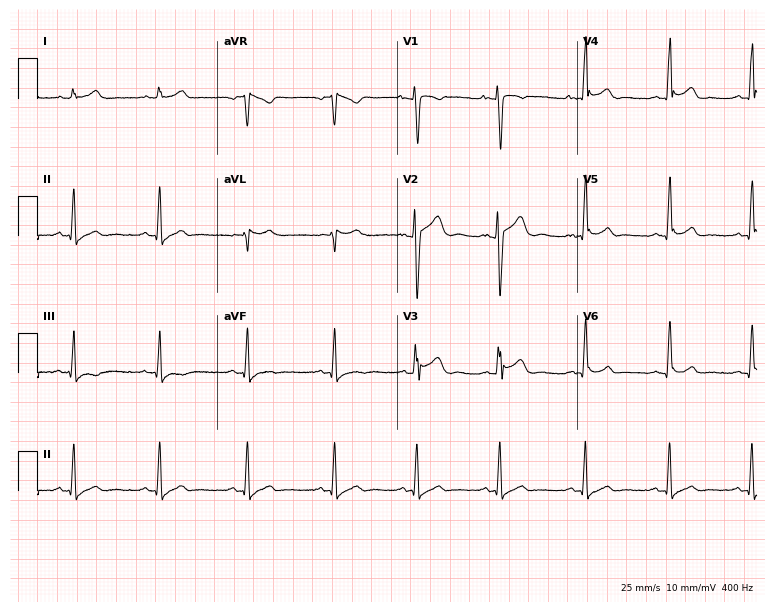
Electrocardiogram, a male, 26 years old. Of the six screened findings (first-degree AV block, right bundle branch block, left bundle branch block, sinus bradycardia, atrial fibrillation, sinus tachycardia), none is recorded. Findings outside these six are not listed.